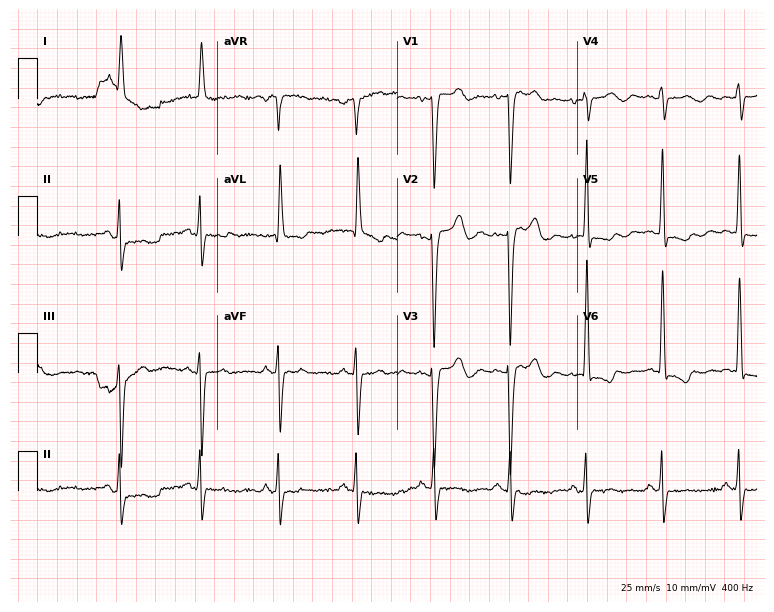
12-lead ECG from a female patient, 69 years old. Screened for six findings — first-degree AV block, right bundle branch block (RBBB), left bundle branch block (LBBB), sinus bradycardia, atrial fibrillation (AF), sinus tachycardia — none is recorded. Only these six findings were labelled.